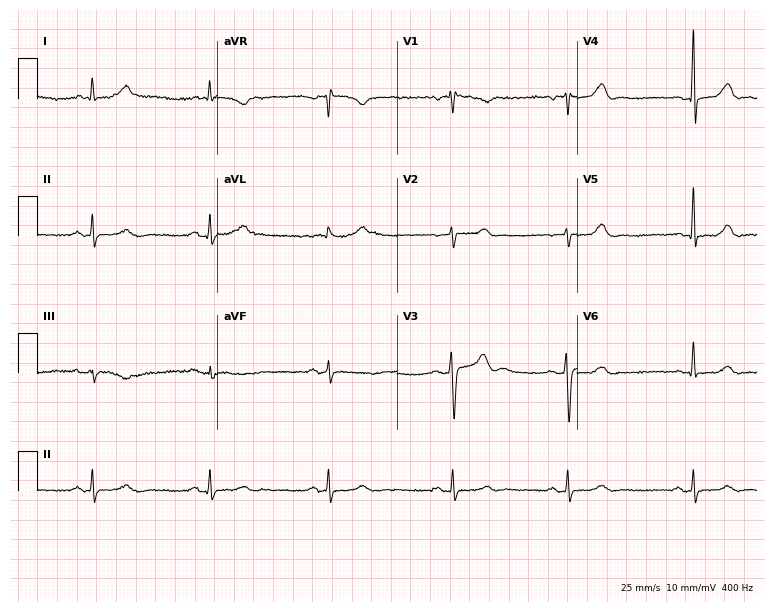
ECG — a woman, 47 years old. Labelled as a normal ECG.